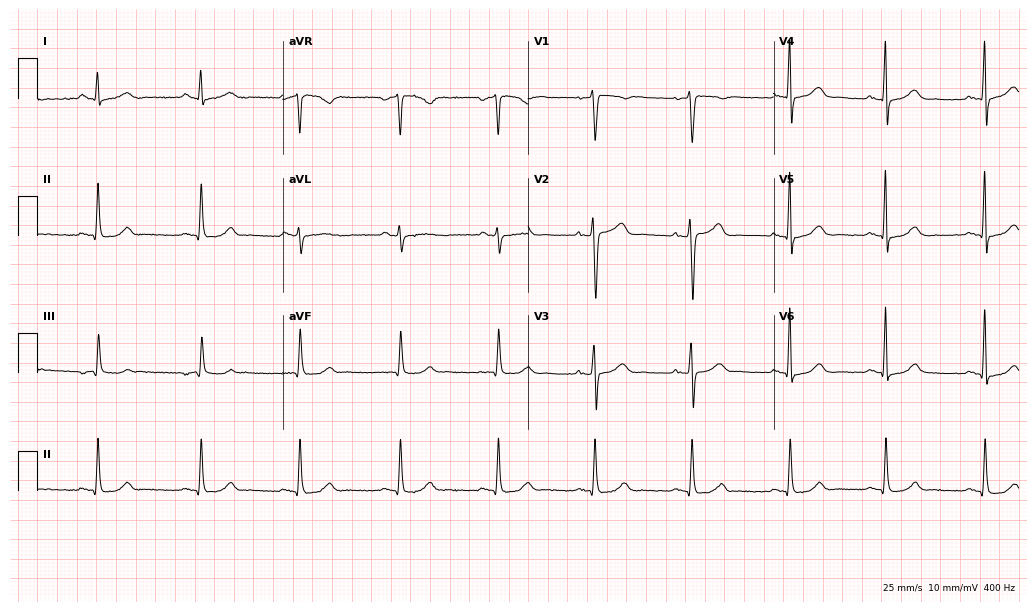
12-lead ECG from a male, 48 years old. No first-degree AV block, right bundle branch block, left bundle branch block, sinus bradycardia, atrial fibrillation or sinus tachycardia recorded for this tracing.